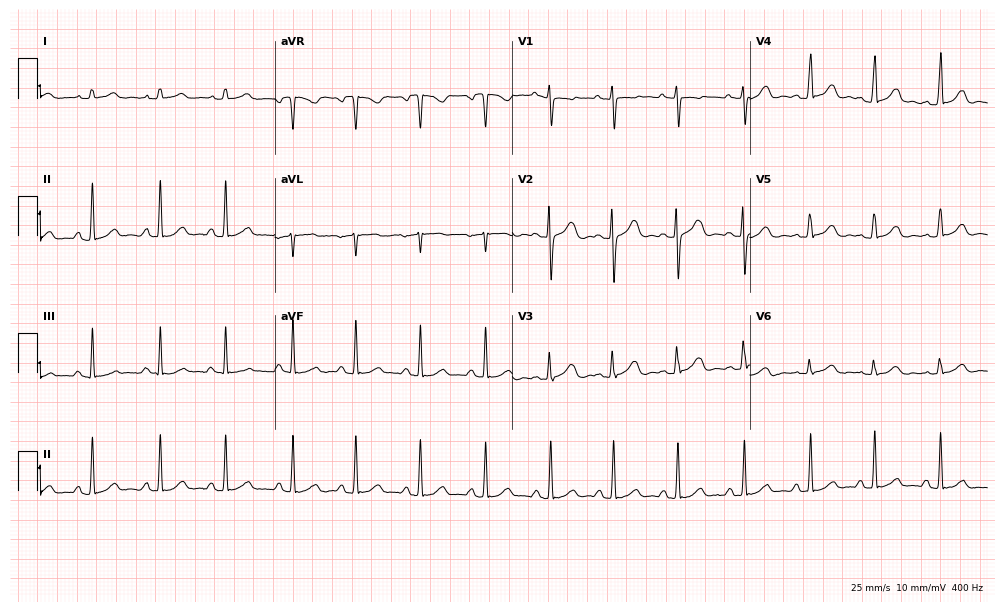
Standard 12-lead ECG recorded from a female patient, 18 years old (9.7-second recording at 400 Hz). Read as a normal ECG.